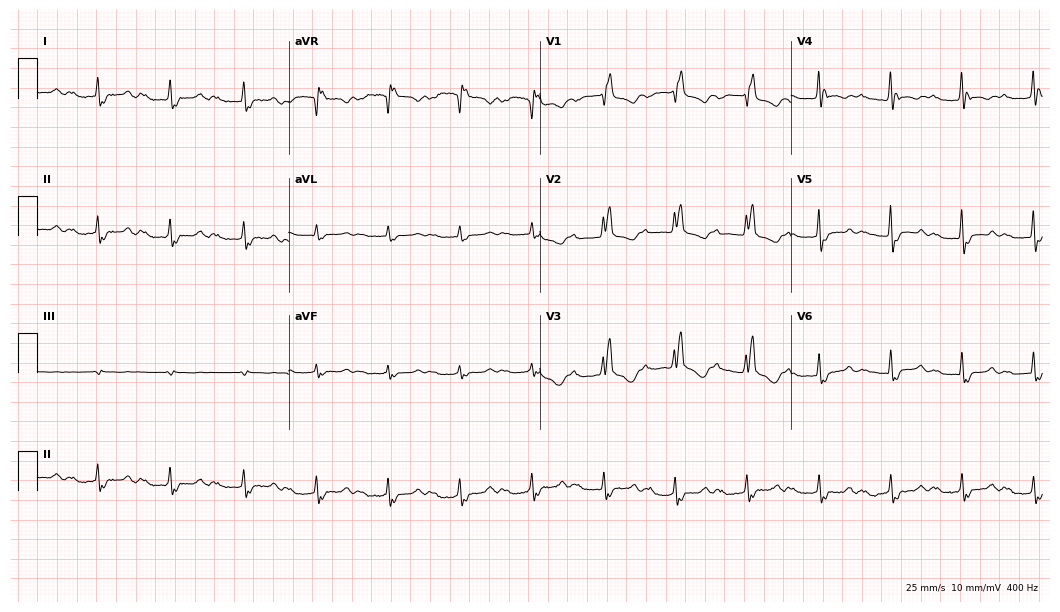
ECG — a female, 50 years old. Findings include first-degree AV block, right bundle branch block.